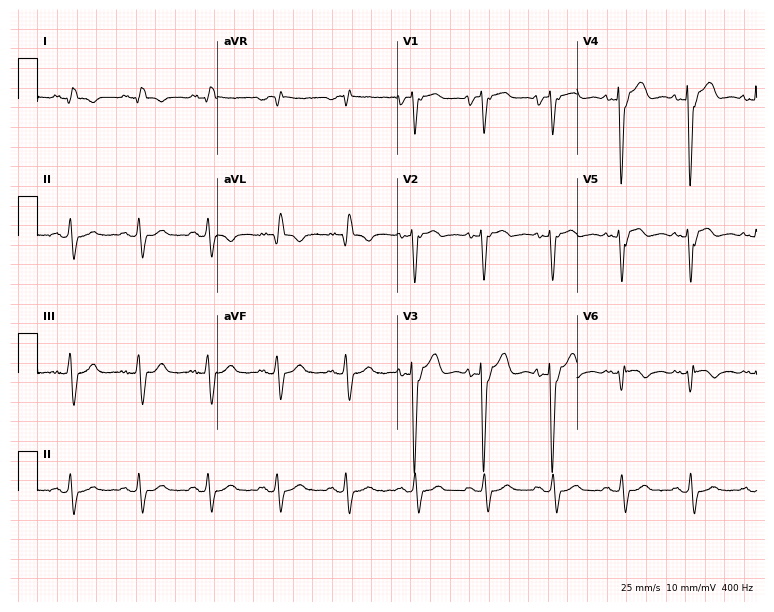
Resting 12-lead electrocardiogram (7.3-second recording at 400 Hz). Patient: a female, 42 years old. The tracing shows left bundle branch block.